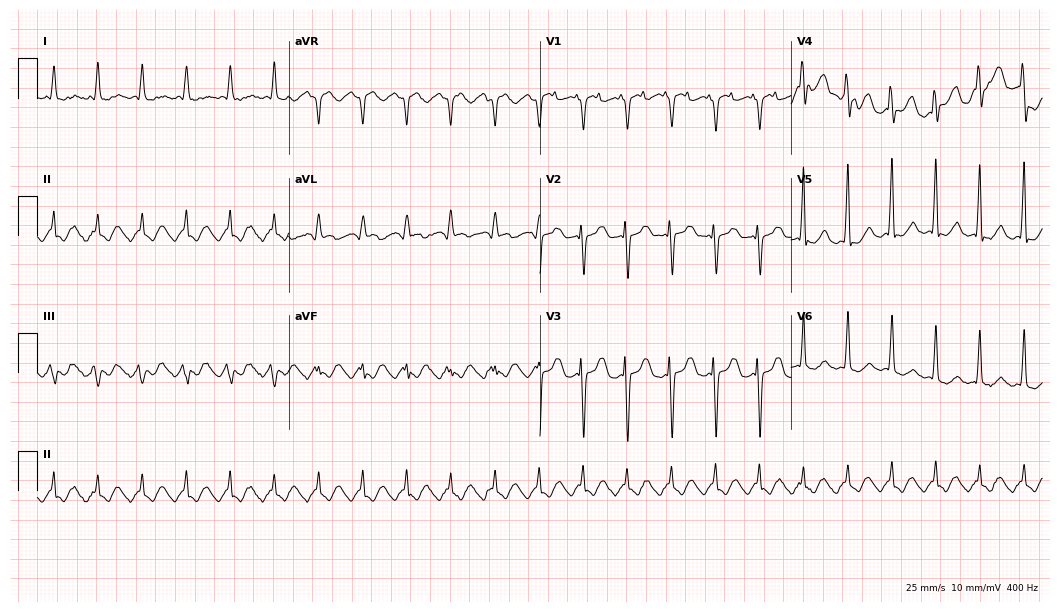
ECG (10.2-second recording at 400 Hz) — a 45-year-old male patient. Screened for six findings — first-degree AV block, right bundle branch block (RBBB), left bundle branch block (LBBB), sinus bradycardia, atrial fibrillation (AF), sinus tachycardia — none is recorded. Other findings, if any, are not listed.